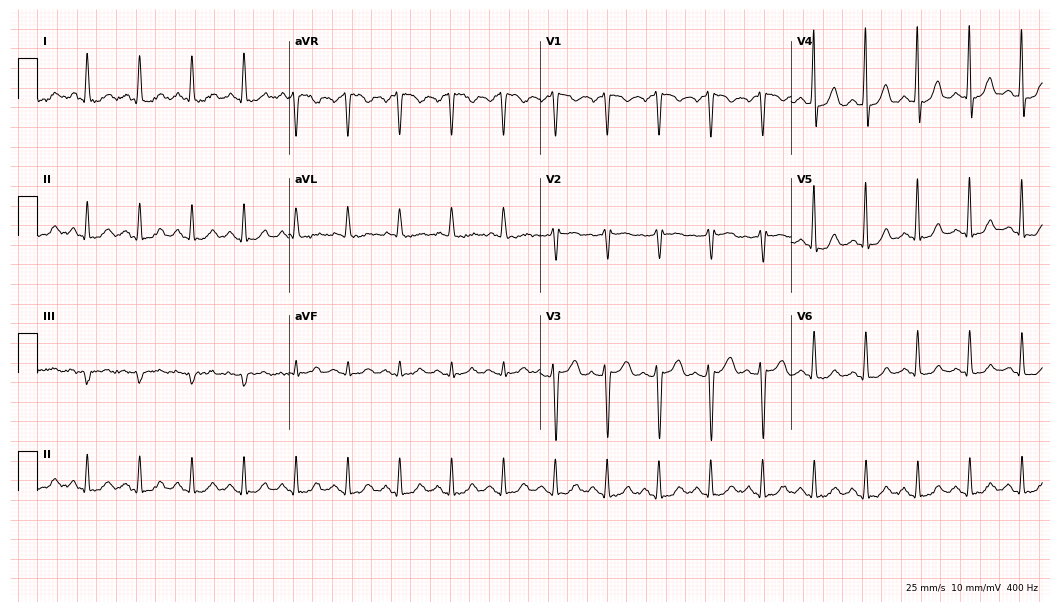
Standard 12-lead ECG recorded from a 54-year-old woman. The tracing shows sinus tachycardia (a sinus rate of 100 beats per minute or more).